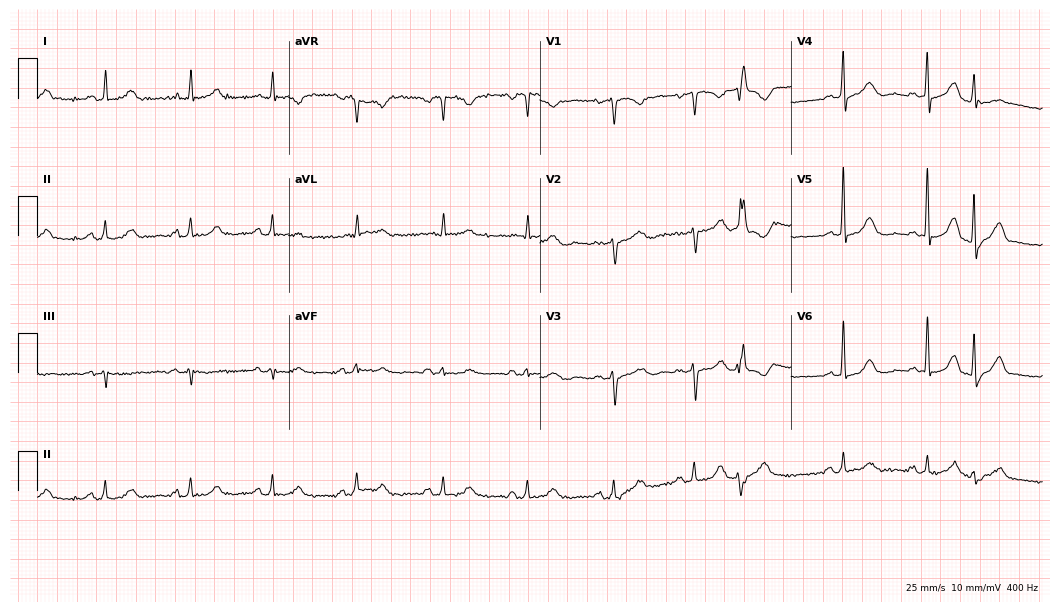
12-lead ECG from an 82-year-old female (10.2-second recording at 400 Hz). No first-degree AV block, right bundle branch block, left bundle branch block, sinus bradycardia, atrial fibrillation or sinus tachycardia recorded for this tracing.